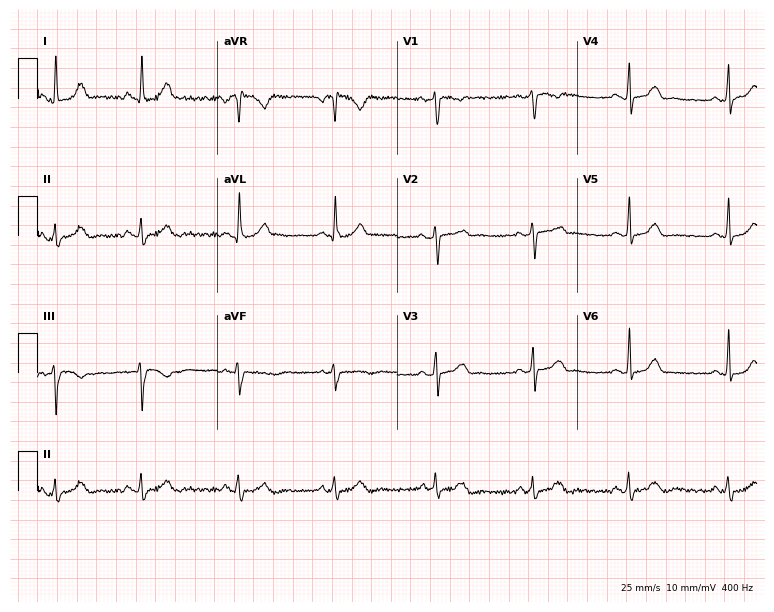
ECG (7.3-second recording at 400 Hz) — a woman, 31 years old. Screened for six findings — first-degree AV block, right bundle branch block, left bundle branch block, sinus bradycardia, atrial fibrillation, sinus tachycardia — none is recorded.